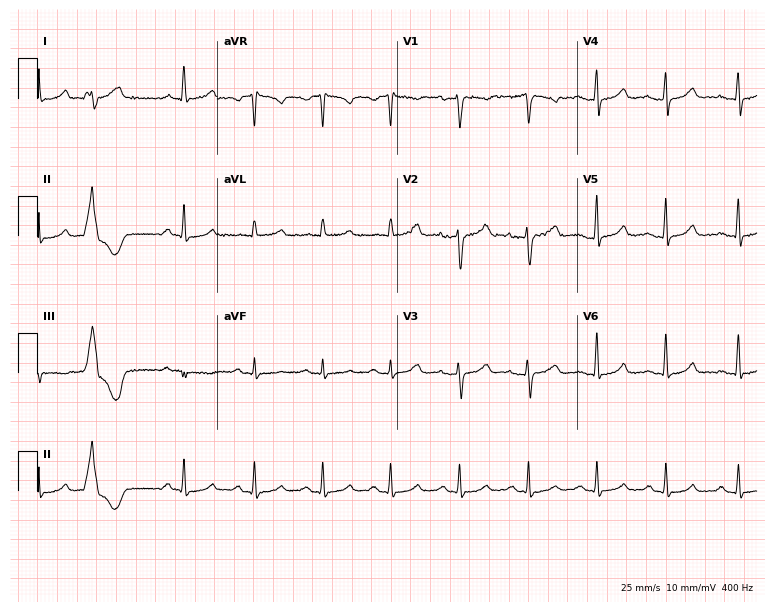
ECG (7.3-second recording at 400 Hz) — a 49-year-old female. Screened for six findings — first-degree AV block, right bundle branch block, left bundle branch block, sinus bradycardia, atrial fibrillation, sinus tachycardia — none is recorded.